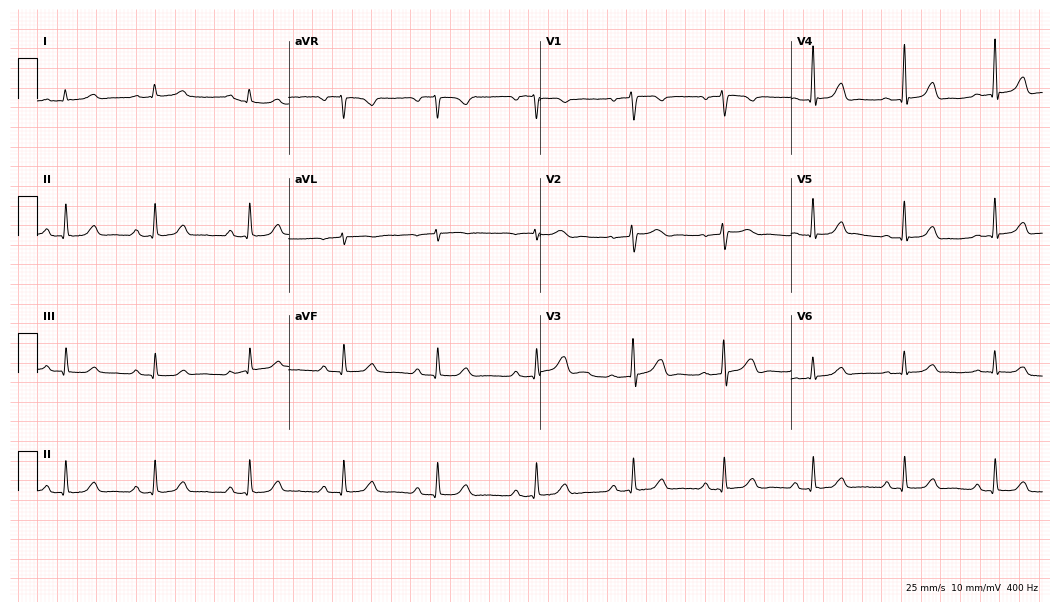
ECG (10.2-second recording at 400 Hz) — a female patient, 39 years old. Labelled as a normal ECG.